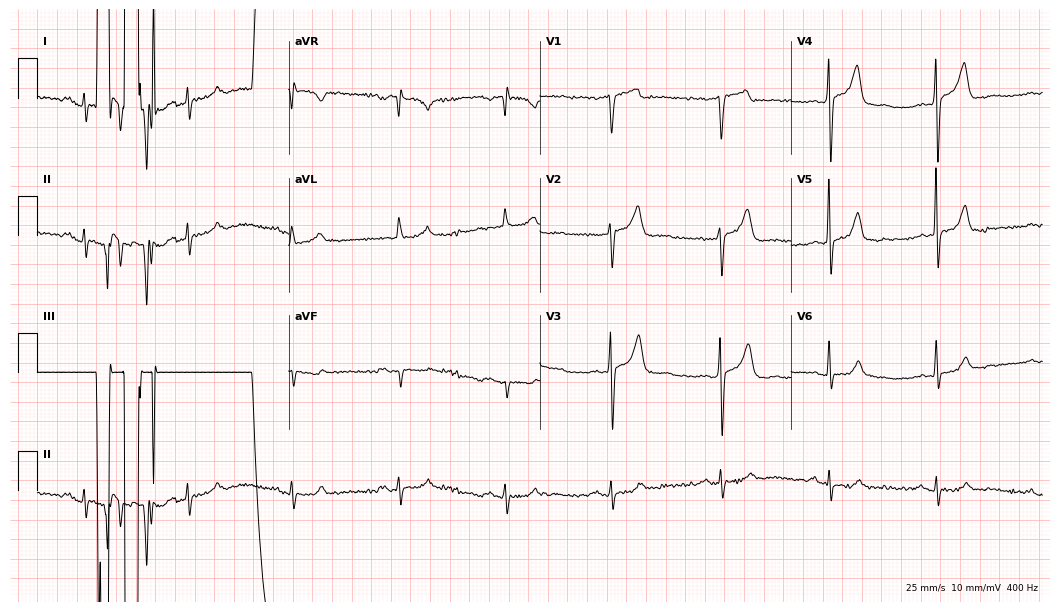
Resting 12-lead electrocardiogram (10.2-second recording at 400 Hz). Patient: a 77-year-old male. None of these six findings is recorded: first-degree AV block, right bundle branch block (RBBB), left bundle branch block (LBBB), sinus bradycardia, atrial fibrillation (AF), sinus tachycardia.